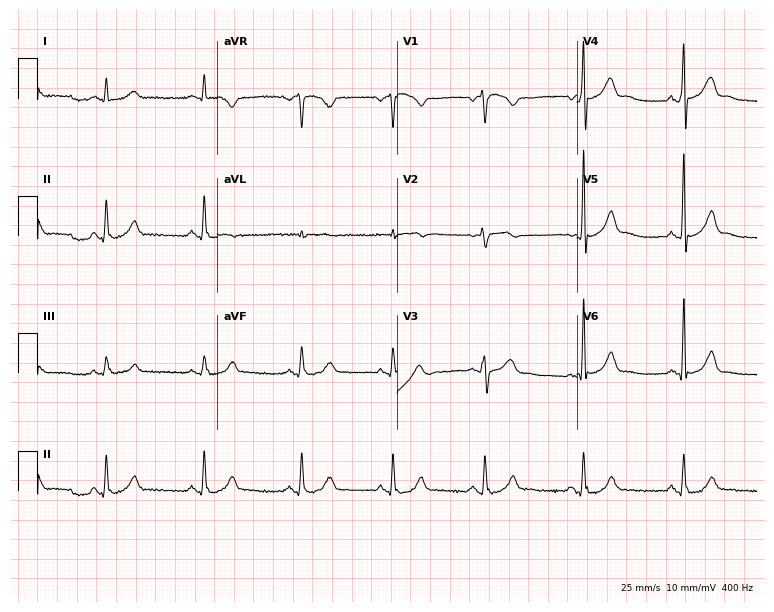
Standard 12-lead ECG recorded from a 47-year-old male (7.3-second recording at 400 Hz). None of these six findings is recorded: first-degree AV block, right bundle branch block (RBBB), left bundle branch block (LBBB), sinus bradycardia, atrial fibrillation (AF), sinus tachycardia. Other findings, if any, are not listed.